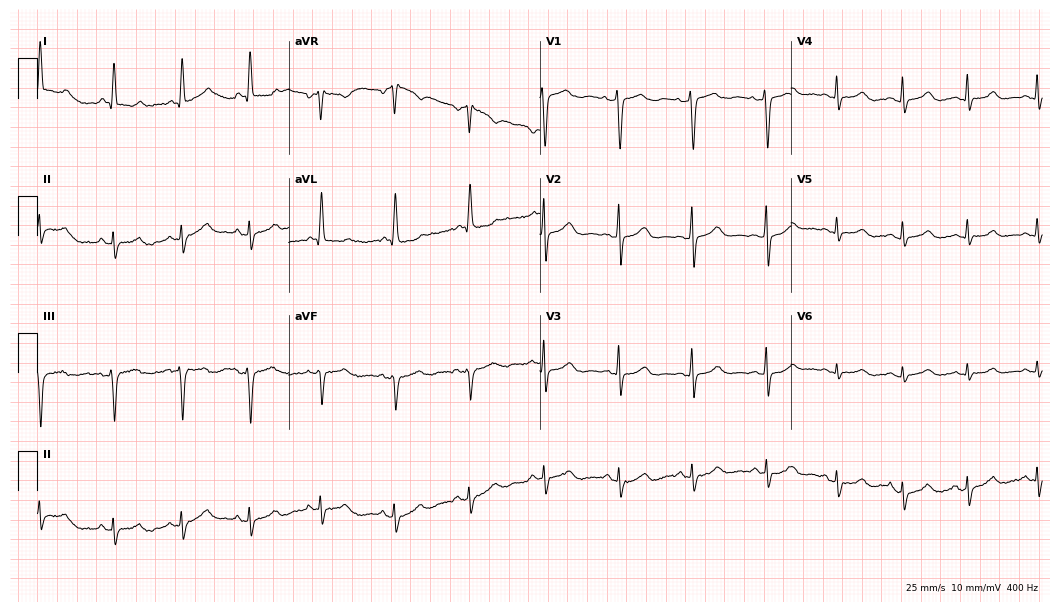
ECG (10.2-second recording at 400 Hz) — a female, 40 years old. Labelled as a normal ECG.